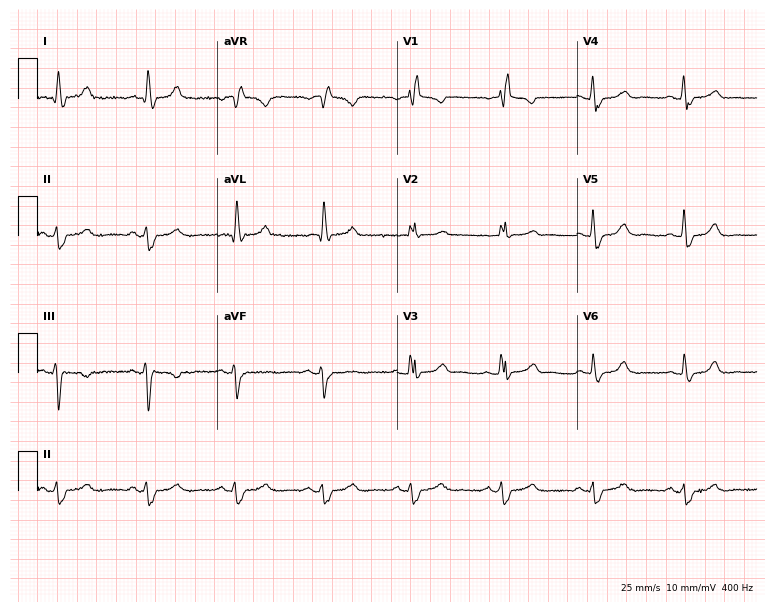
12-lead ECG from a 64-year-old male patient. Findings include right bundle branch block.